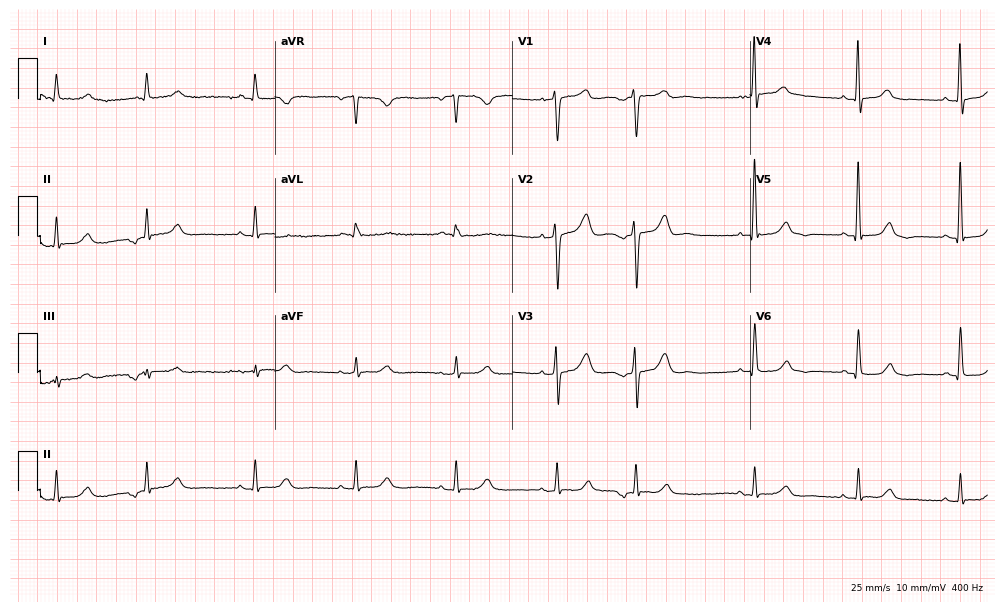
ECG — an 85-year-old male. Labelled as a normal ECG.